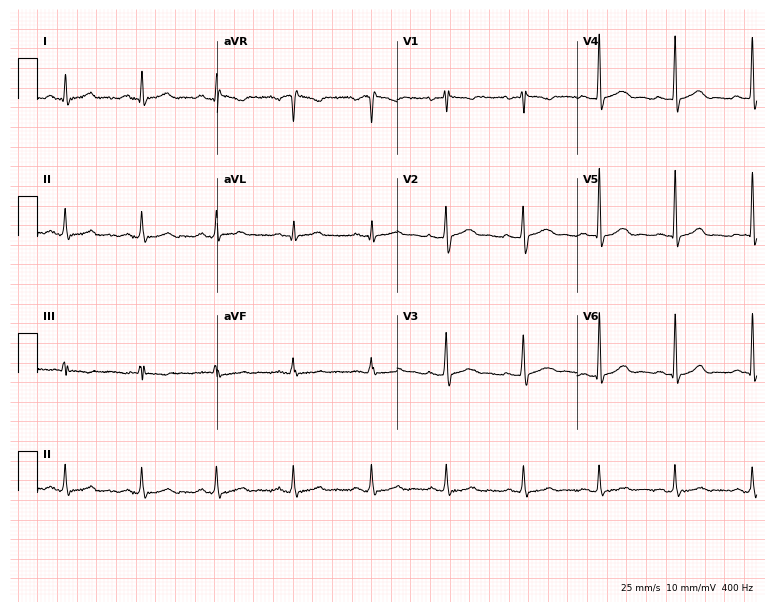
ECG (7.3-second recording at 400 Hz) — a woman, 43 years old. Labelled as a normal ECG.